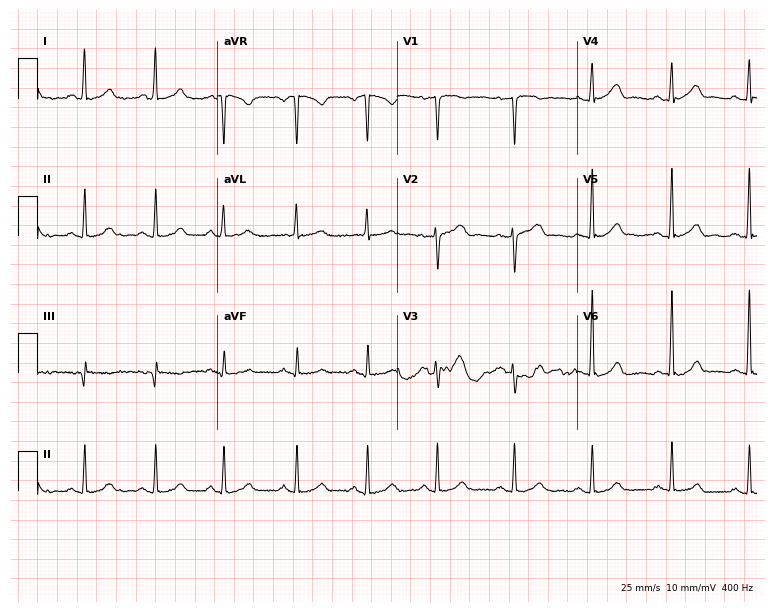
ECG (7.3-second recording at 400 Hz) — a female, 56 years old. Screened for six findings — first-degree AV block, right bundle branch block, left bundle branch block, sinus bradycardia, atrial fibrillation, sinus tachycardia — none is recorded. Only these six findings were labelled.